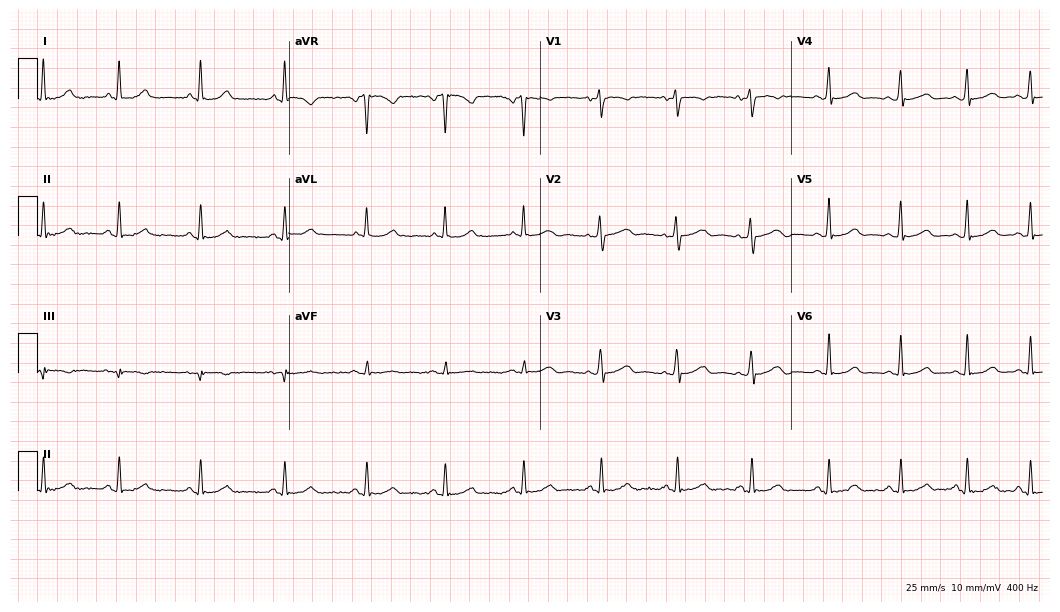
Resting 12-lead electrocardiogram. Patient: a female, 47 years old. Read as a normal ECG.